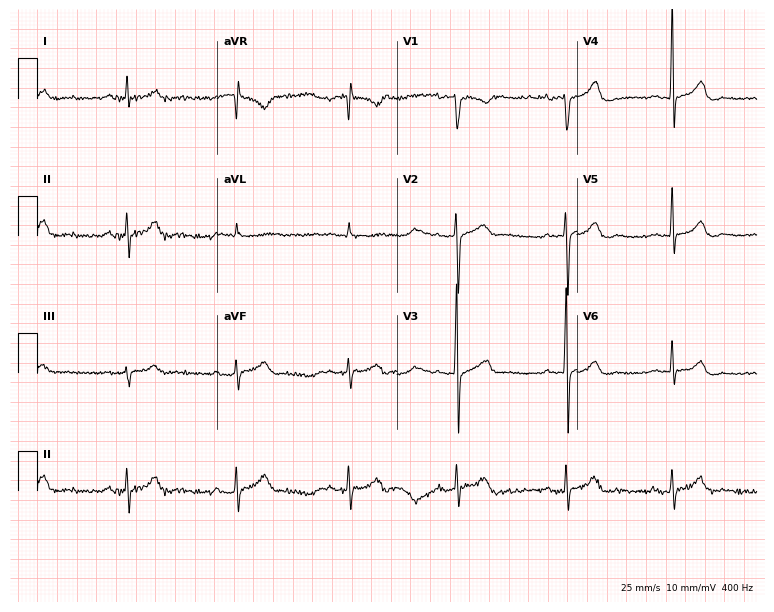
Electrocardiogram (7.3-second recording at 400 Hz), a male, 47 years old. Interpretation includes first-degree AV block.